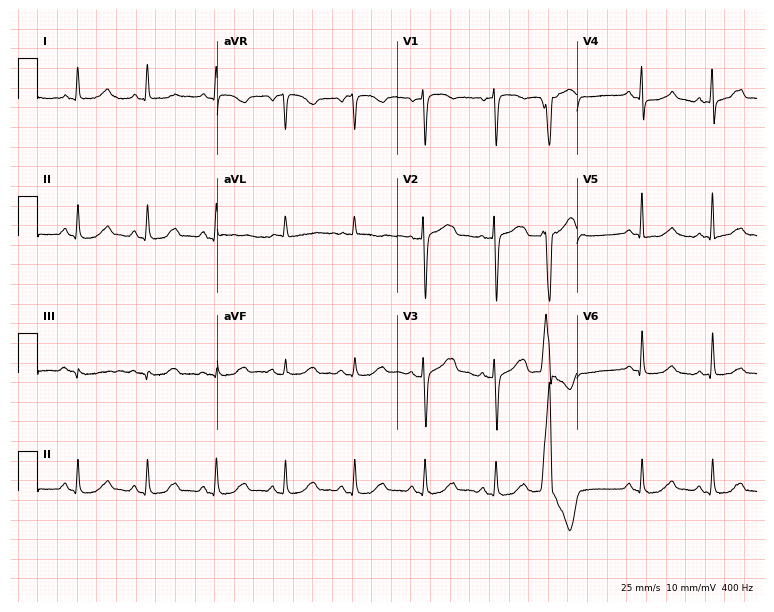
Resting 12-lead electrocardiogram (7.3-second recording at 400 Hz). Patient: a female, 83 years old. None of these six findings is recorded: first-degree AV block, right bundle branch block (RBBB), left bundle branch block (LBBB), sinus bradycardia, atrial fibrillation (AF), sinus tachycardia.